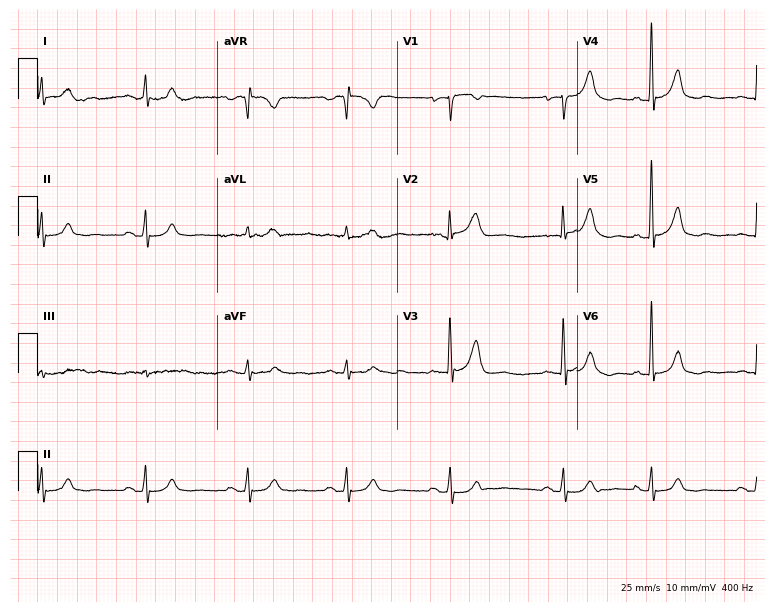
12-lead ECG (7.3-second recording at 400 Hz) from a male patient, 69 years old. Screened for six findings — first-degree AV block, right bundle branch block, left bundle branch block, sinus bradycardia, atrial fibrillation, sinus tachycardia — none is recorded. Other findings, if any, are not listed.